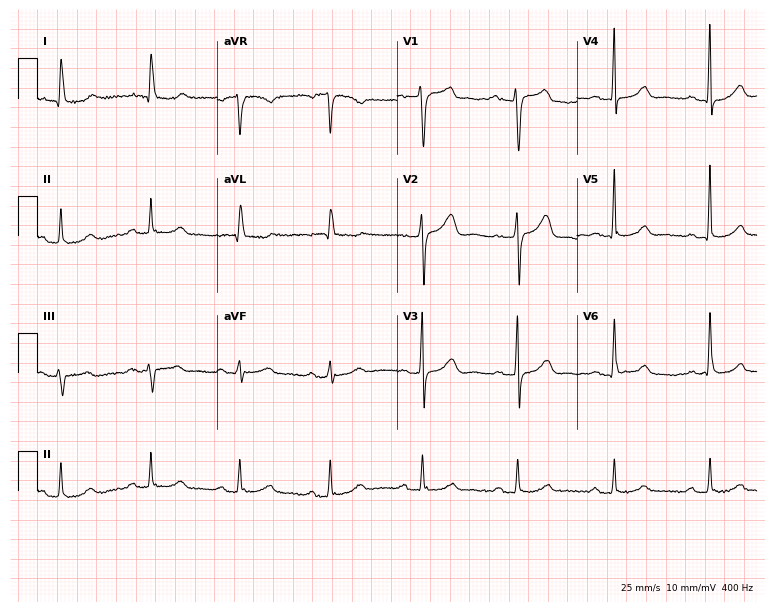
Electrocardiogram, a male patient, 74 years old. Interpretation includes first-degree AV block.